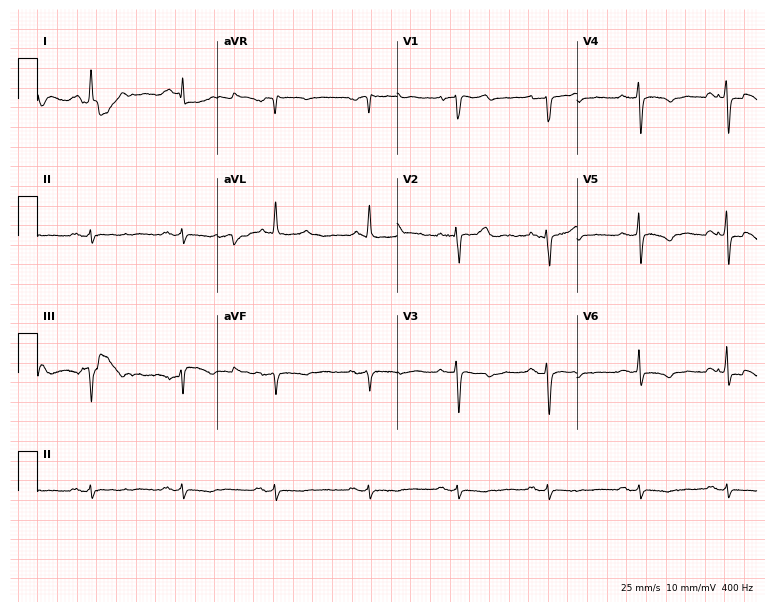
Standard 12-lead ECG recorded from a male patient, 56 years old (7.3-second recording at 400 Hz). None of these six findings is recorded: first-degree AV block, right bundle branch block (RBBB), left bundle branch block (LBBB), sinus bradycardia, atrial fibrillation (AF), sinus tachycardia. Findings outside these six are not listed.